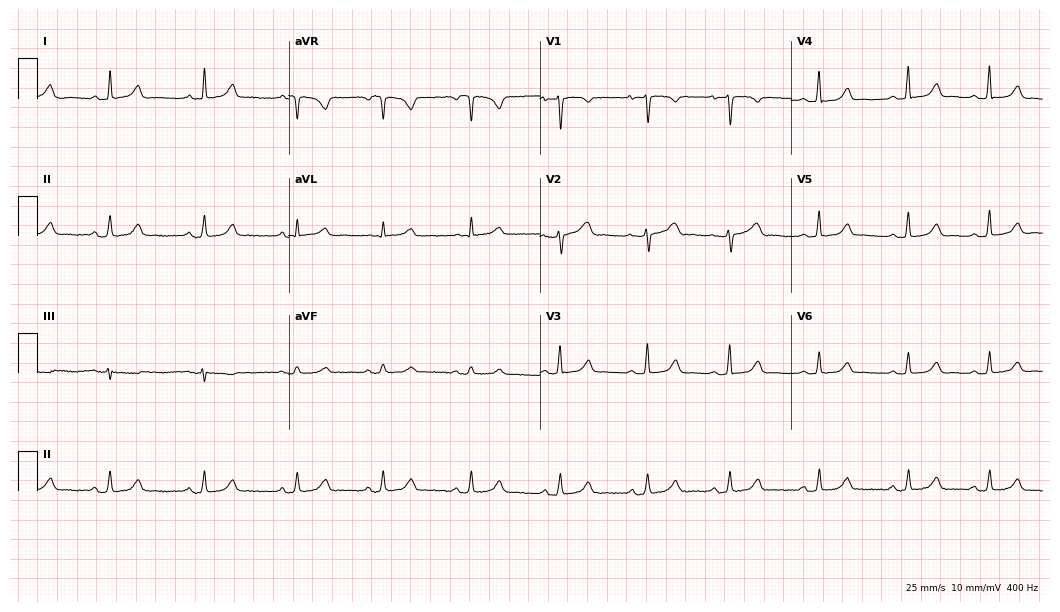
12-lead ECG from a 27-year-old female. Labelled as a normal ECG.